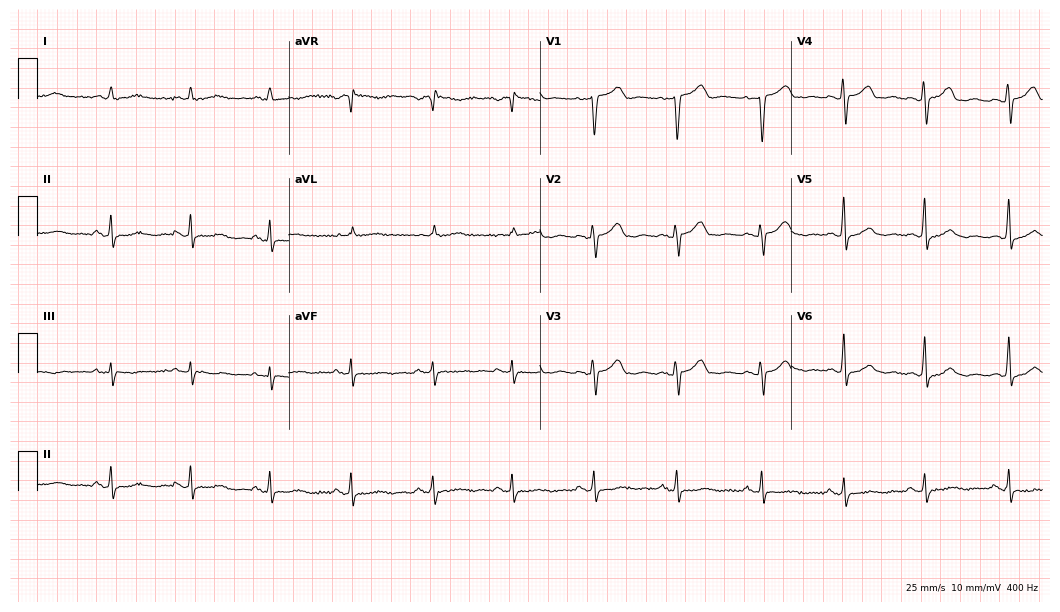
Electrocardiogram, a 71-year-old woman. Overall reading on record: normal ECG.